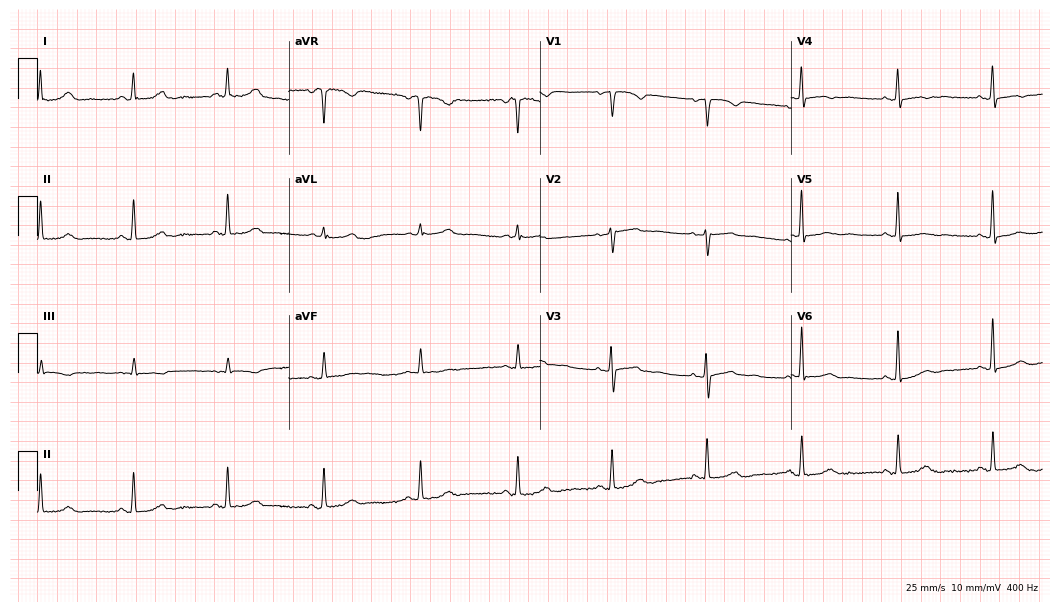
ECG — a woman, 52 years old. Labelled as a normal ECG.